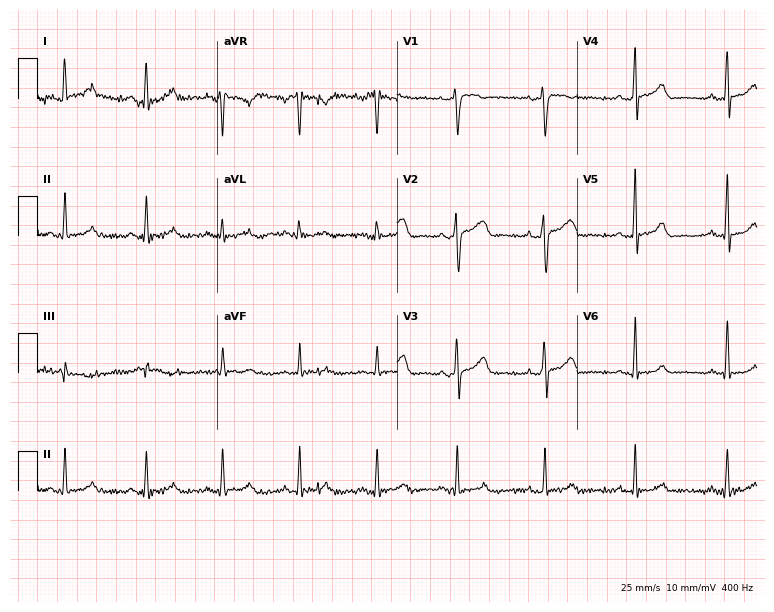
Resting 12-lead electrocardiogram. Patient: a female, 51 years old. None of these six findings is recorded: first-degree AV block, right bundle branch block, left bundle branch block, sinus bradycardia, atrial fibrillation, sinus tachycardia. Findings outside these six are not listed.